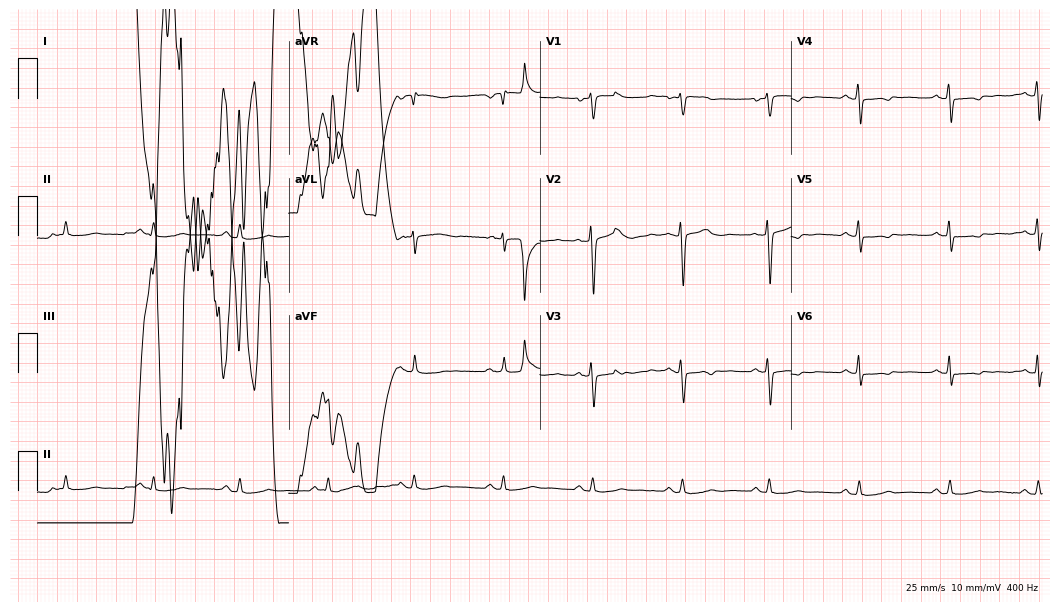
Electrocardiogram, a female, 46 years old. Of the six screened findings (first-degree AV block, right bundle branch block, left bundle branch block, sinus bradycardia, atrial fibrillation, sinus tachycardia), none is recorded. Other findings, if any, are not listed.